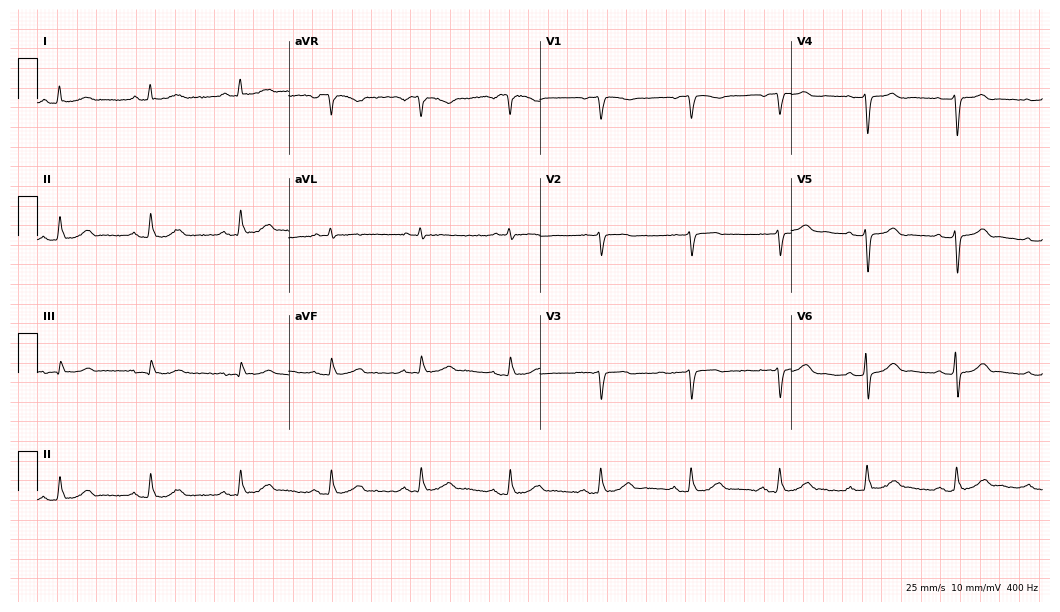
ECG (10.2-second recording at 400 Hz) — a man, 74 years old. Screened for six findings — first-degree AV block, right bundle branch block, left bundle branch block, sinus bradycardia, atrial fibrillation, sinus tachycardia — none is recorded. Findings outside these six are not listed.